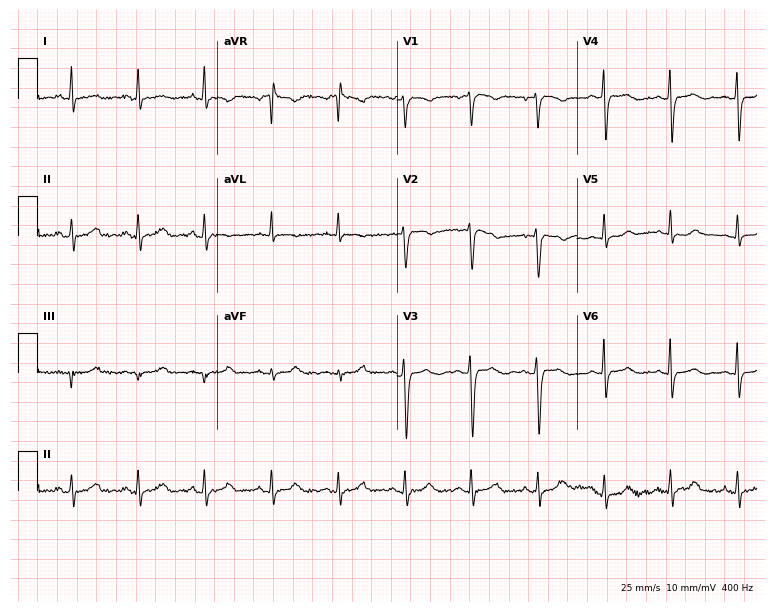
Resting 12-lead electrocardiogram. Patient: a female, 61 years old. None of these six findings is recorded: first-degree AV block, right bundle branch block, left bundle branch block, sinus bradycardia, atrial fibrillation, sinus tachycardia. Only these six findings were labelled.